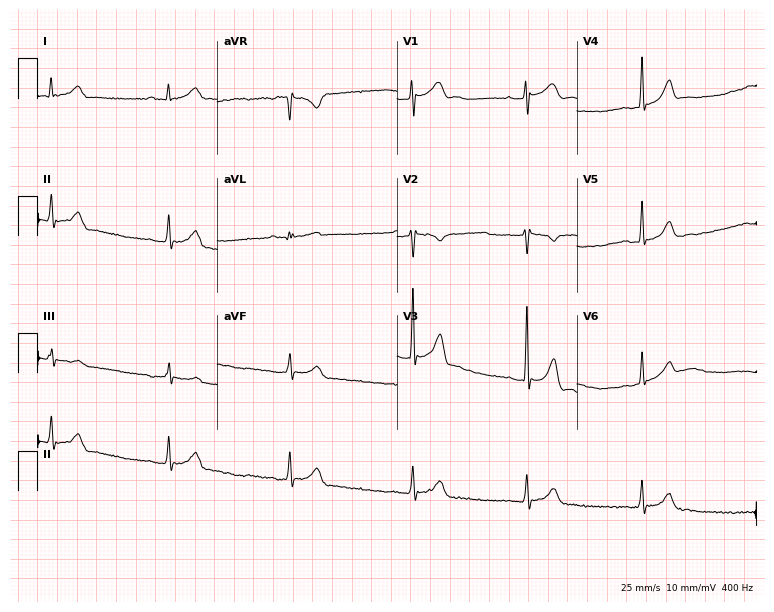
Resting 12-lead electrocardiogram (7.3-second recording at 400 Hz). Patient: a 30-year-old male. None of these six findings is recorded: first-degree AV block, right bundle branch block (RBBB), left bundle branch block (LBBB), sinus bradycardia, atrial fibrillation (AF), sinus tachycardia.